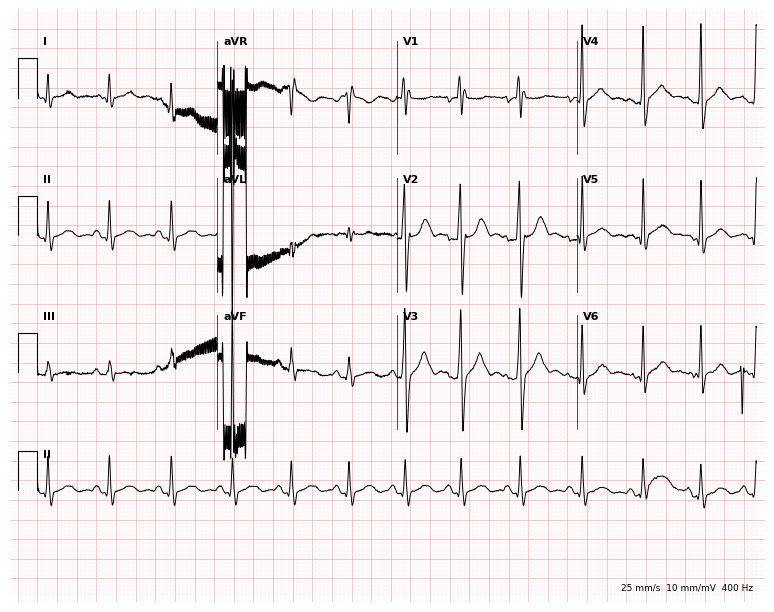
Standard 12-lead ECG recorded from a male patient, 20 years old (7.3-second recording at 400 Hz). None of these six findings is recorded: first-degree AV block, right bundle branch block, left bundle branch block, sinus bradycardia, atrial fibrillation, sinus tachycardia.